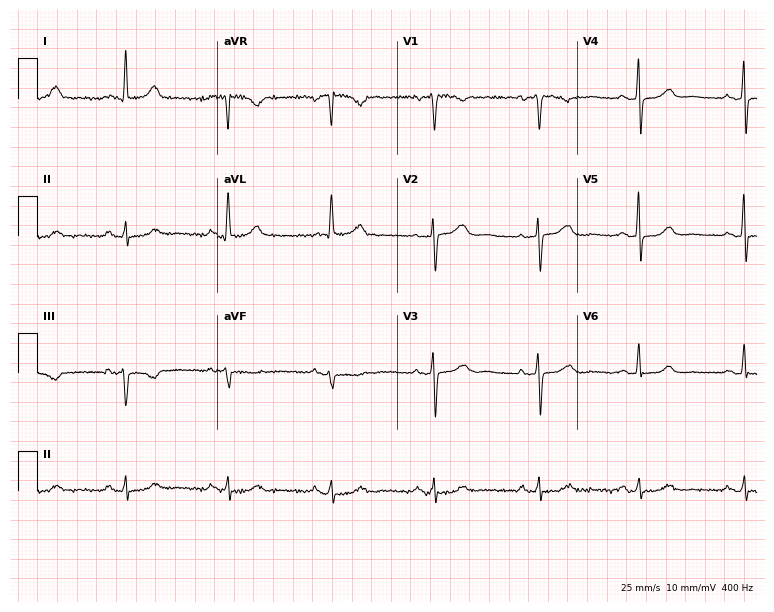
Standard 12-lead ECG recorded from a 56-year-old female patient. None of these six findings is recorded: first-degree AV block, right bundle branch block (RBBB), left bundle branch block (LBBB), sinus bradycardia, atrial fibrillation (AF), sinus tachycardia. Findings outside these six are not listed.